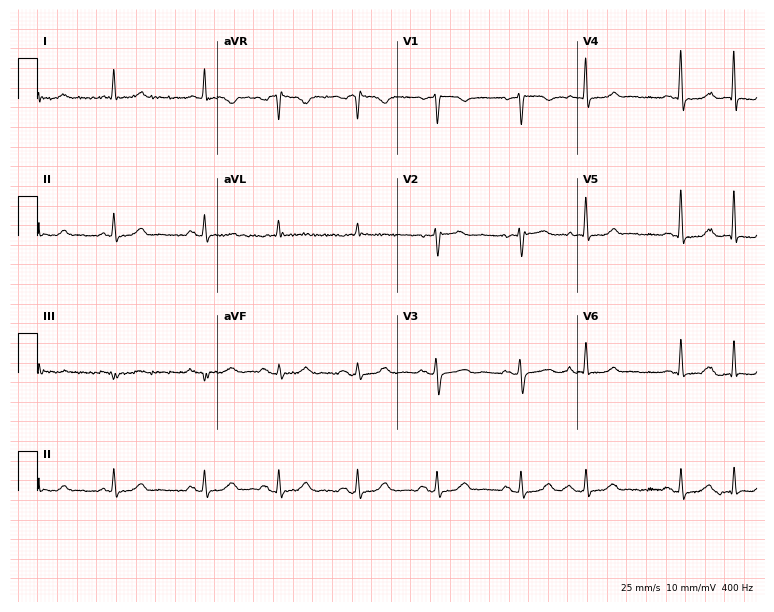
12-lead ECG from a female, 66 years old. Screened for six findings — first-degree AV block, right bundle branch block, left bundle branch block, sinus bradycardia, atrial fibrillation, sinus tachycardia — none is recorded. Only these six findings were labelled.